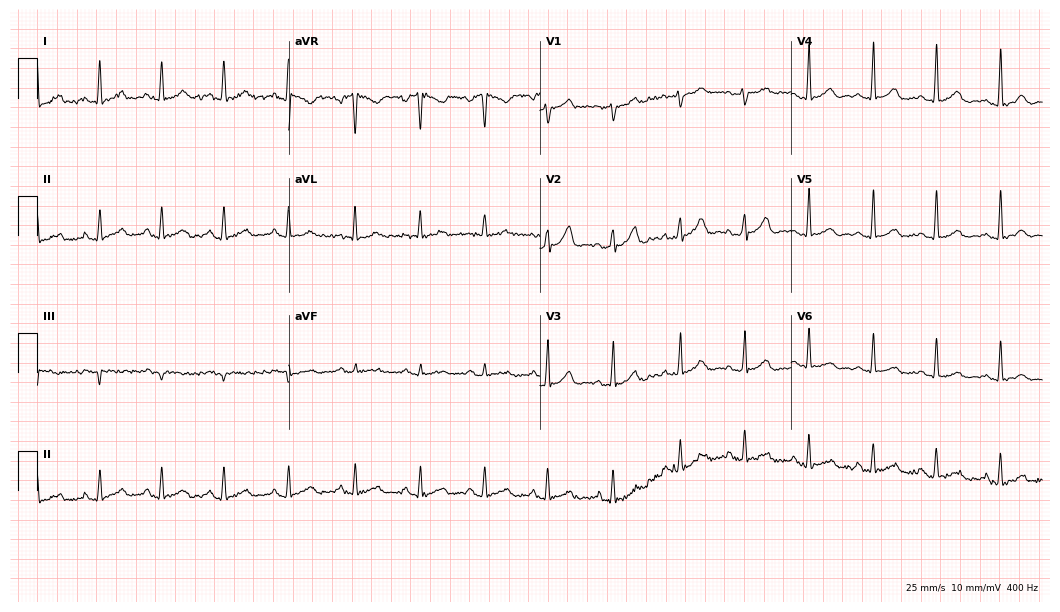
Electrocardiogram (10.2-second recording at 400 Hz), a female patient, 39 years old. Overall reading on record: normal ECG.